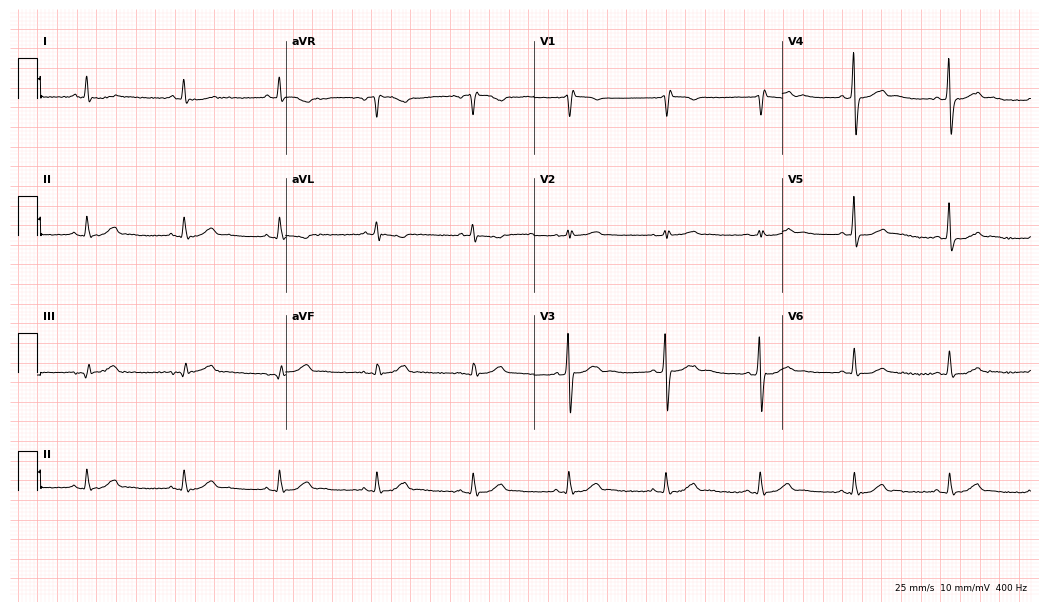
Electrocardiogram, a 59-year-old male patient. Of the six screened findings (first-degree AV block, right bundle branch block (RBBB), left bundle branch block (LBBB), sinus bradycardia, atrial fibrillation (AF), sinus tachycardia), none is recorded. Other findings, if any, are not listed.